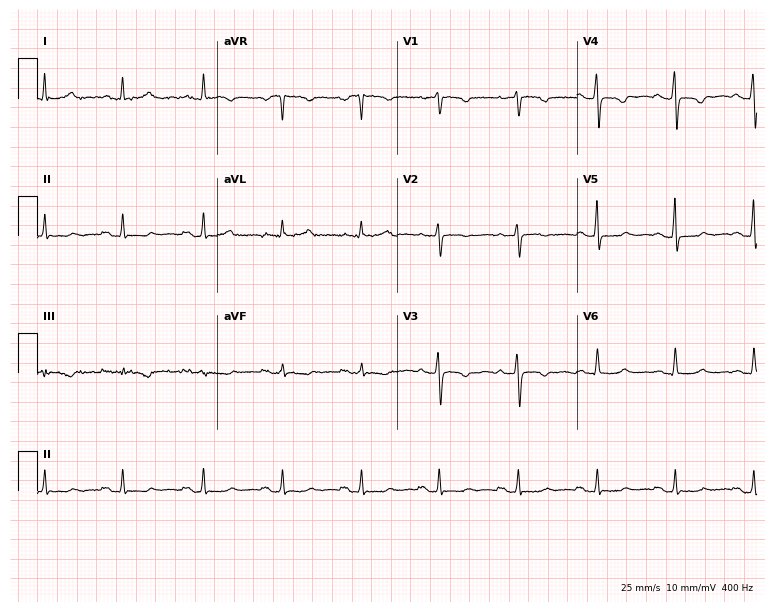
ECG — a 57-year-old female patient. Screened for six findings — first-degree AV block, right bundle branch block, left bundle branch block, sinus bradycardia, atrial fibrillation, sinus tachycardia — none is recorded.